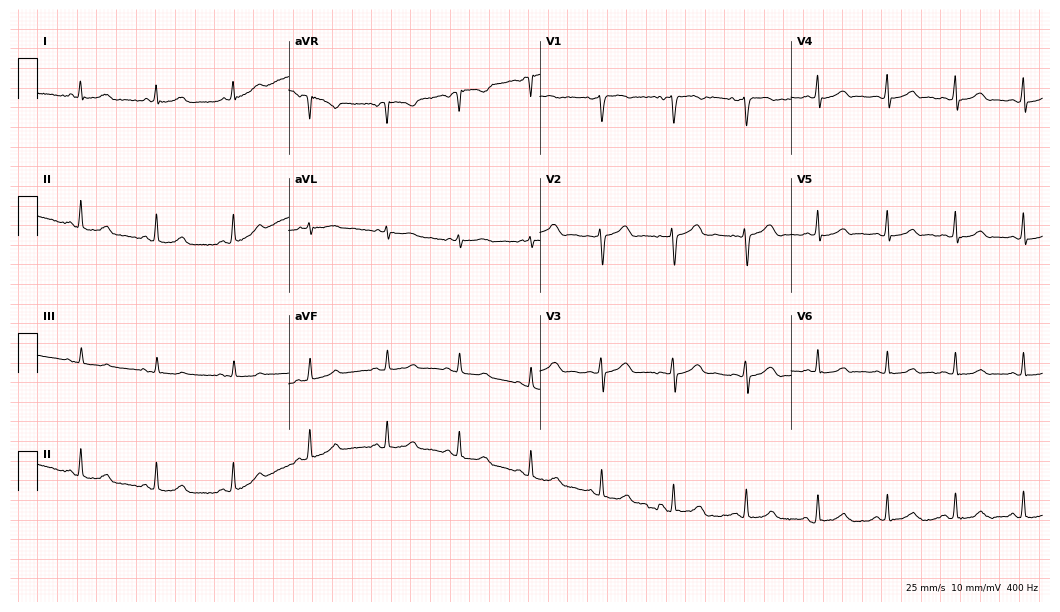
Standard 12-lead ECG recorded from a female patient, 33 years old (10.2-second recording at 400 Hz). Read as a normal ECG.